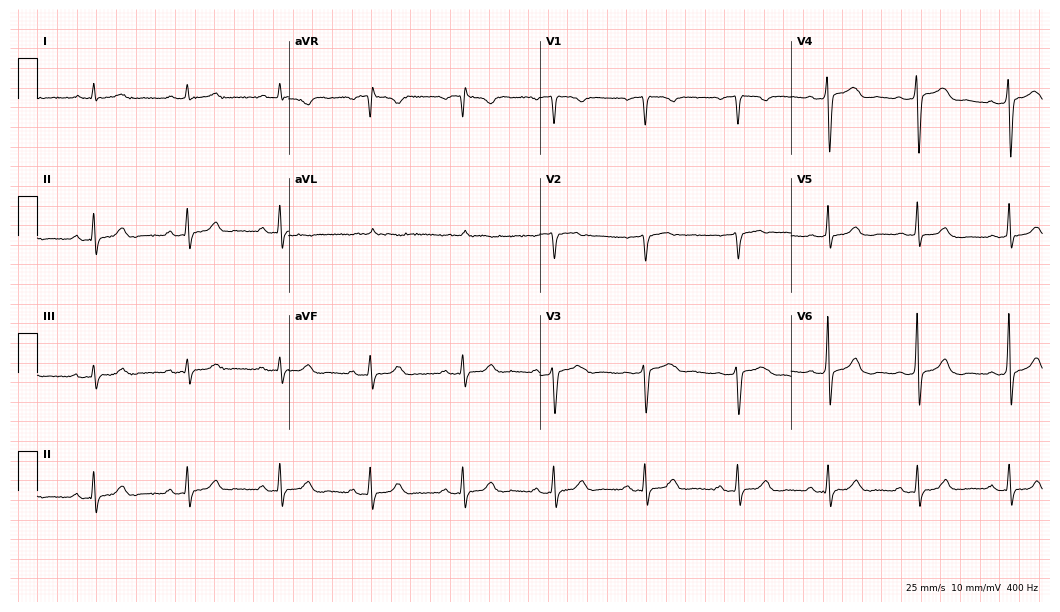
Resting 12-lead electrocardiogram (10.2-second recording at 400 Hz). Patient: a 71-year-old man. None of these six findings is recorded: first-degree AV block, right bundle branch block, left bundle branch block, sinus bradycardia, atrial fibrillation, sinus tachycardia.